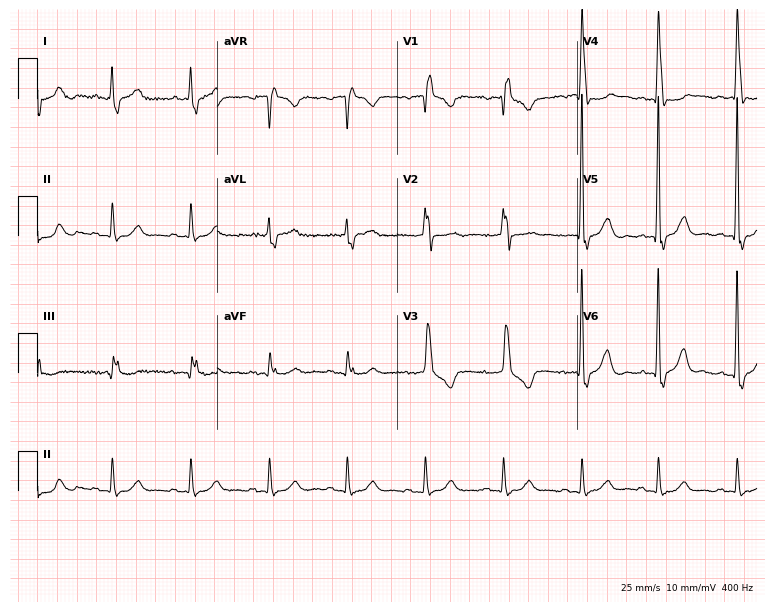
Standard 12-lead ECG recorded from an 80-year-old male (7.3-second recording at 400 Hz). The tracing shows right bundle branch block (RBBB).